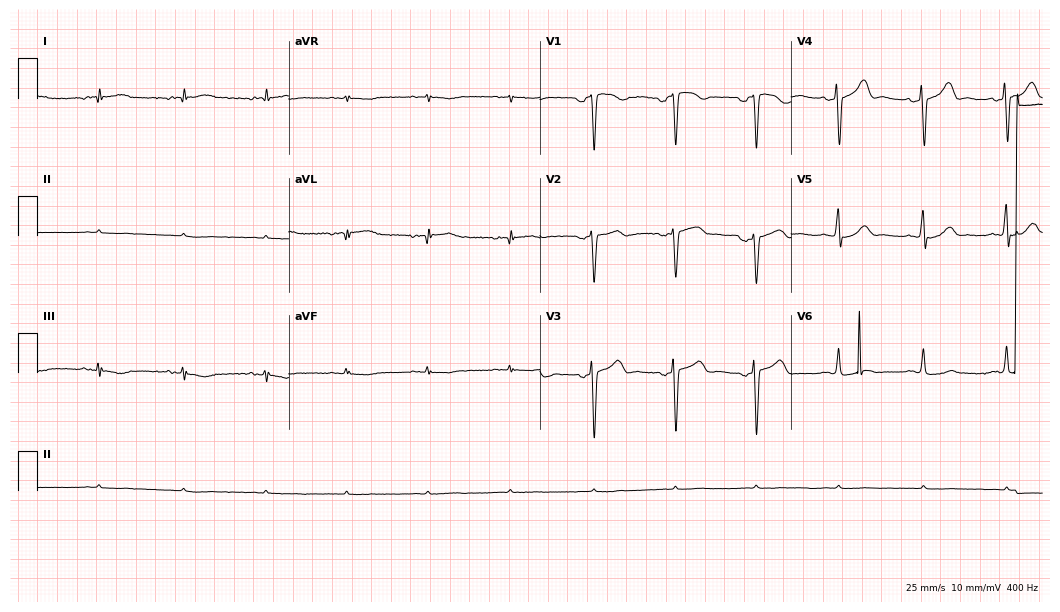
12-lead ECG from a 72-year-old woman (10.2-second recording at 400 Hz). Recorded interpretation: within normal limits.